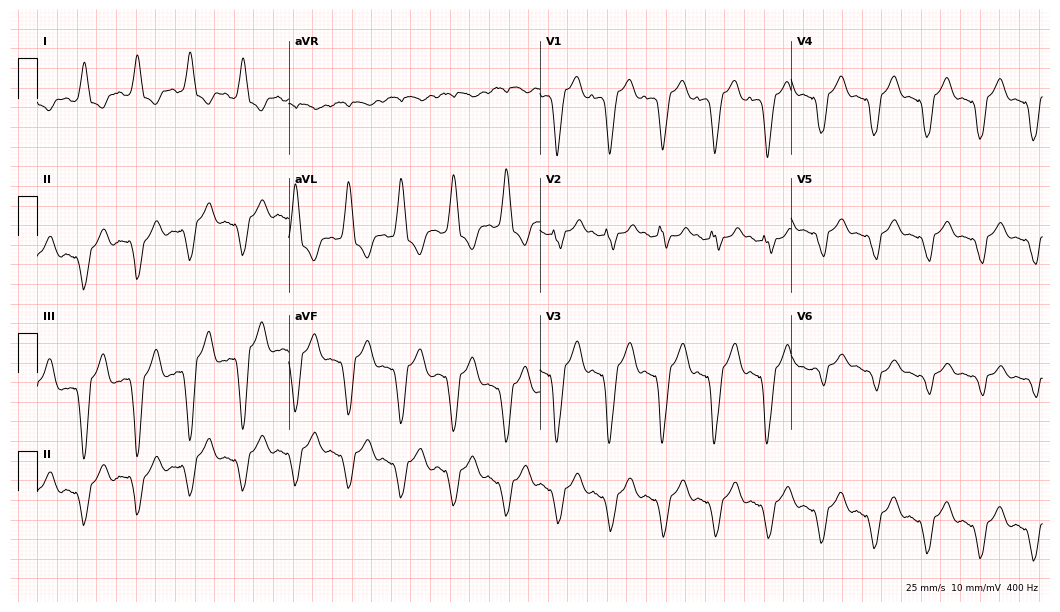
Resting 12-lead electrocardiogram. Patient: a female, 54 years old. The tracing shows left bundle branch block (LBBB).